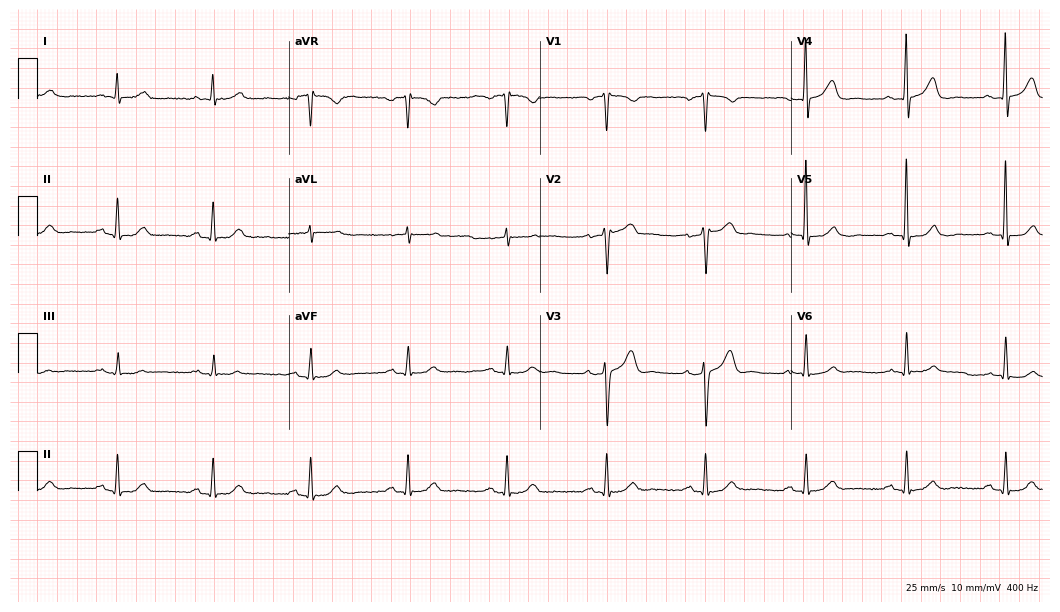
Standard 12-lead ECG recorded from a 63-year-old male (10.2-second recording at 400 Hz). Read as a normal ECG.